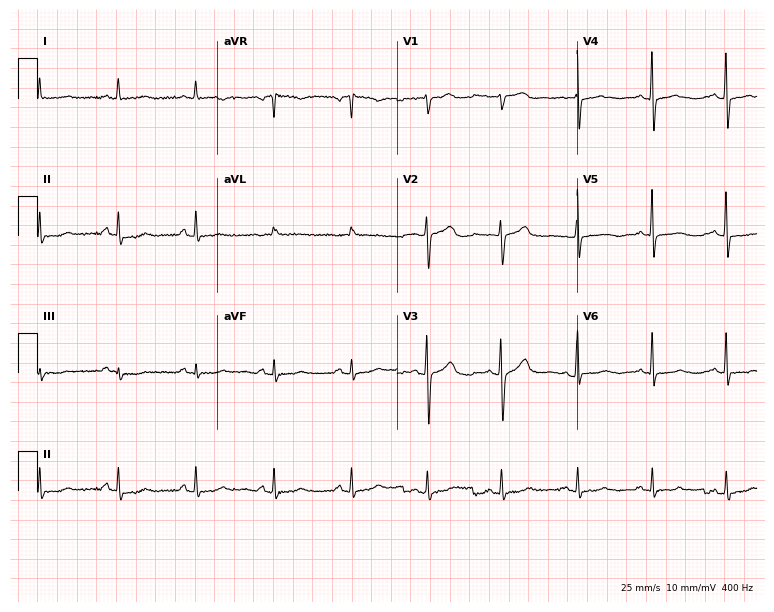
ECG — a woman, 63 years old. Screened for six findings — first-degree AV block, right bundle branch block, left bundle branch block, sinus bradycardia, atrial fibrillation, sinus tachycardia — none is recorded.